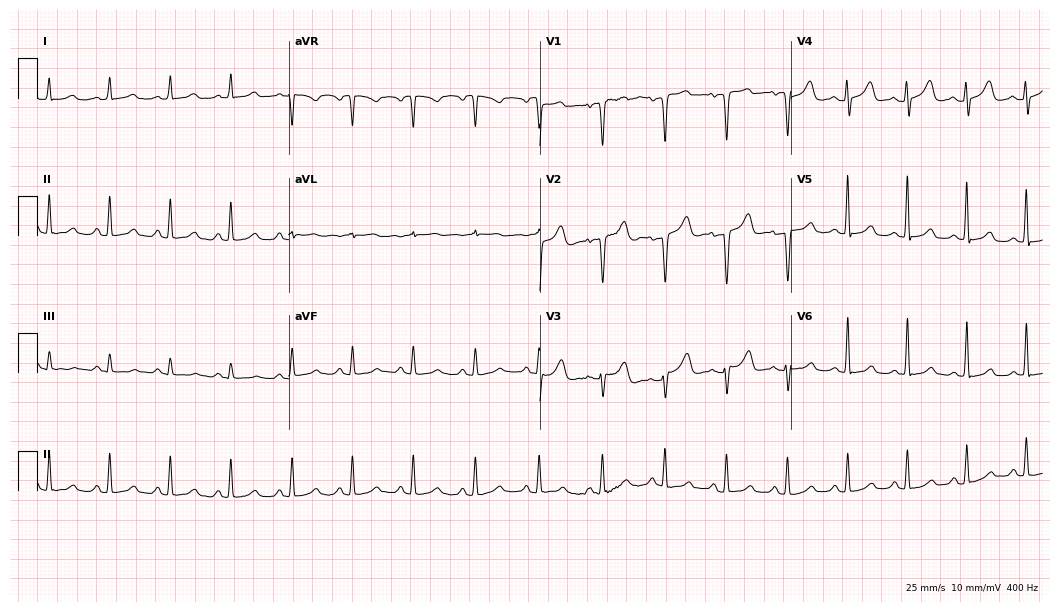
ECG — a female, 46 years old. Labelled as a normal ECG.